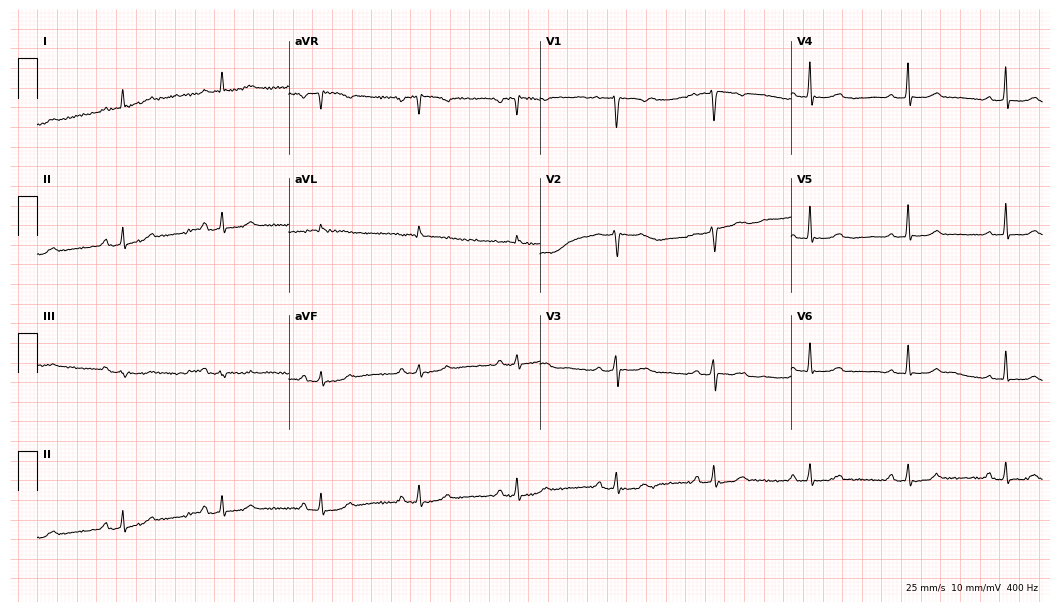
ECG — a 49-year-old woman. Labelled as a normal ECG.